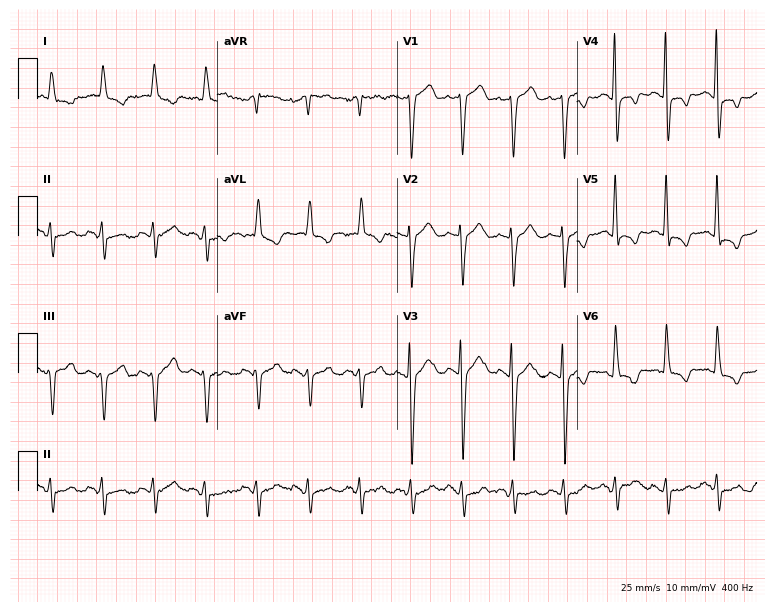
Resting 12-lead electrocardiogram (7.3-second recording at 400 Hz). Patient: an 85-year-old female. None of these six findings is recorded: first-degree AV block, right bundle branch block, left bundle branch block, sinus bradycardia, atrial fibrillation, sinus tachycardia. Findings outside these six are not listed.